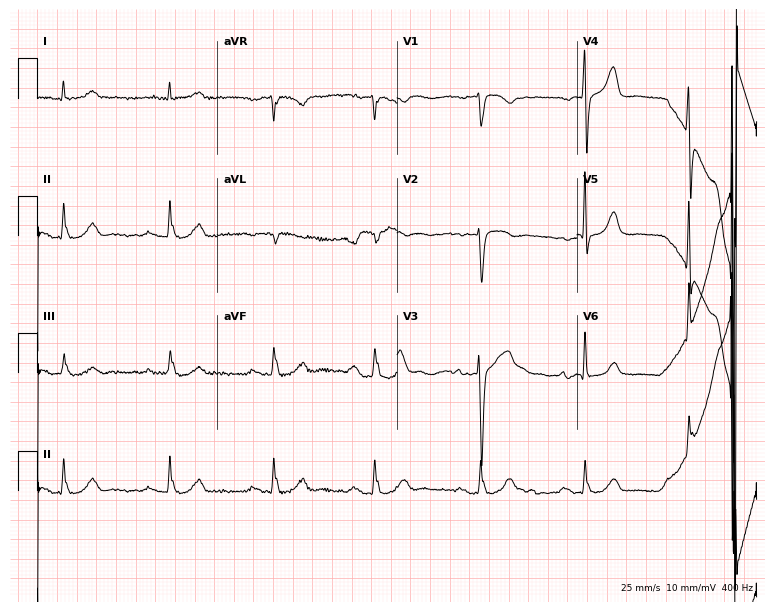
Resting 12-lead electrocardiogram (7.3-second recording at 400 Hz). Patient: a 72-year-old man. None of these six findings is recorded: first-degree AV block, right bundle branch block, left bundle branch block, sinus bradycardia, atrial fibrillation, sinus tachycardia.